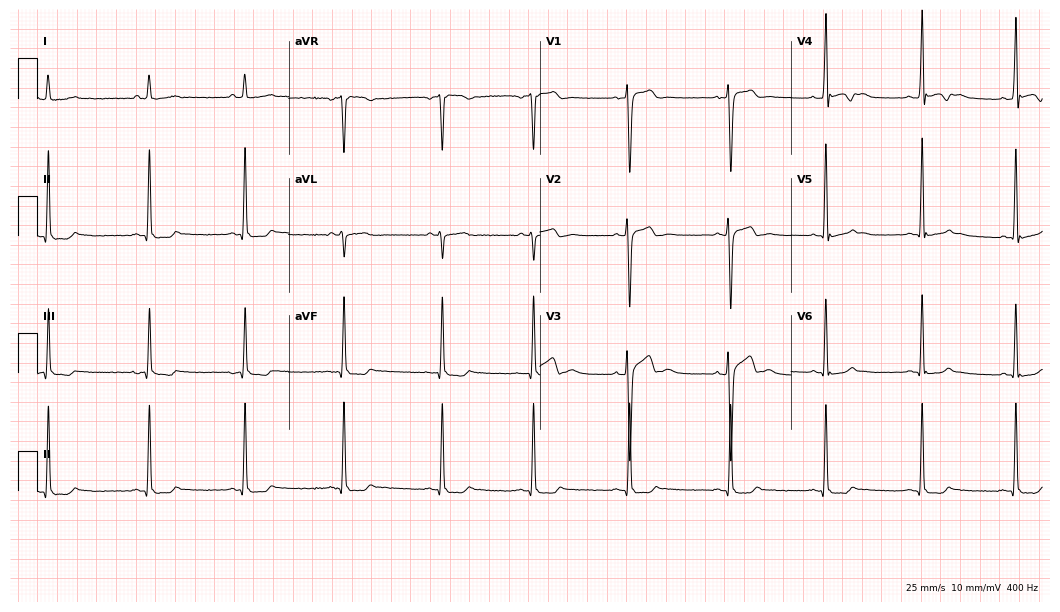
12-lead ECG from a man, 18 years old. Screened for six findings — first-degree AV block, right bundle branch block, left bundle branch block, sinus bradycardia, atrial fibrillation, sinus tachycardia — none is recorded.